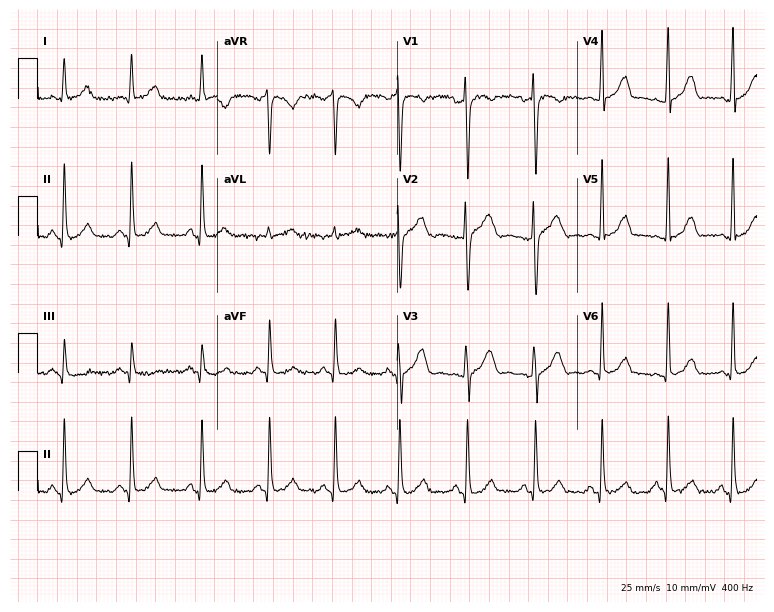
12-lead ECG from a female, 30 years old (7.3-second recording at 400 Hz). Recorded interpretation: within normal limits.